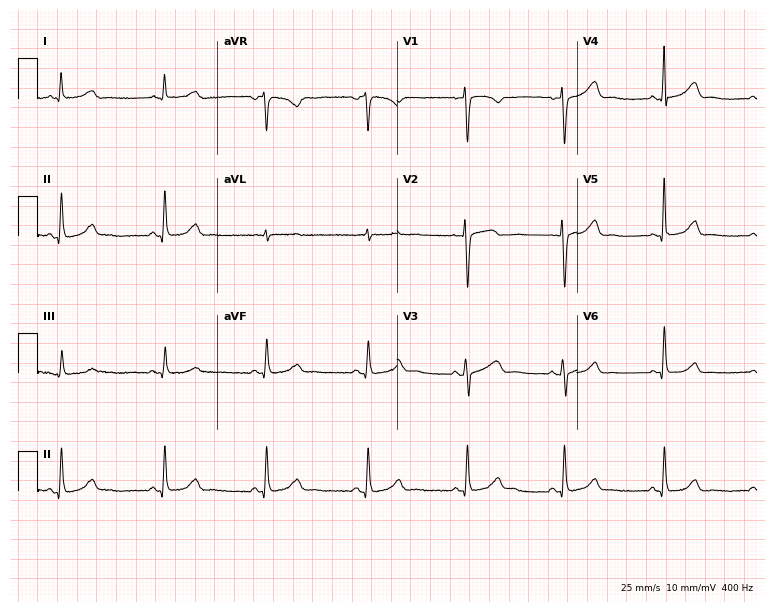
Resting 12-lead electrocardiogram. Patient: a 52-year-old woman. Read as a normal ECG.